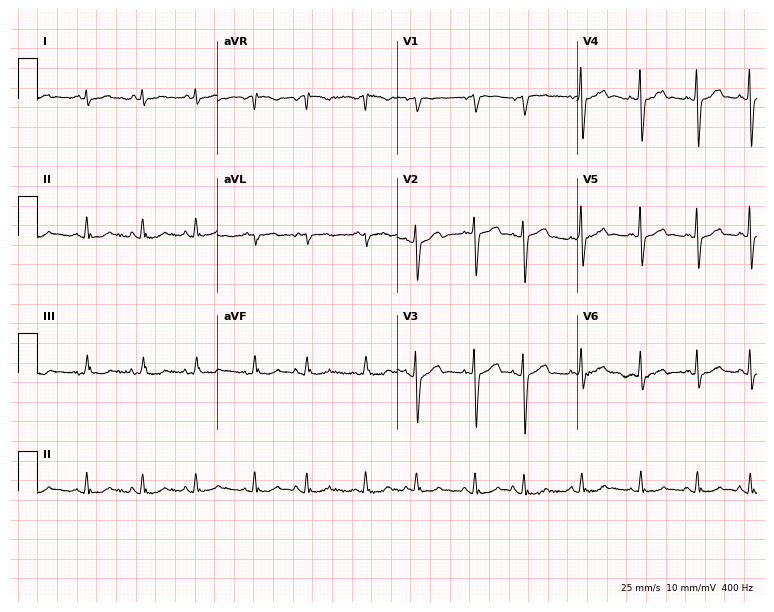
Resting 12-lead electrocardiogram. Patient: an 80-year-old male. The tracing shows sinus tachycardia (a sinus rate of 100 beats per minute or more).